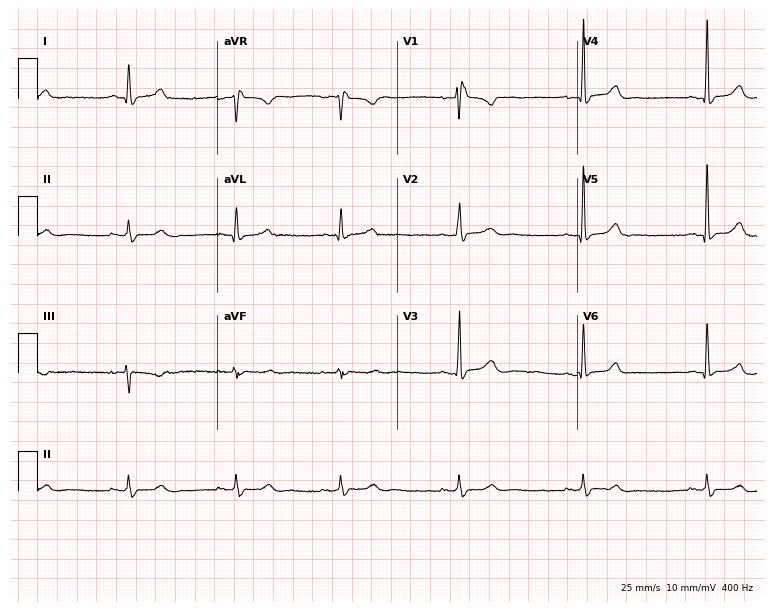
ECG — a 53-year-old female. Findings include right bundle branch block.